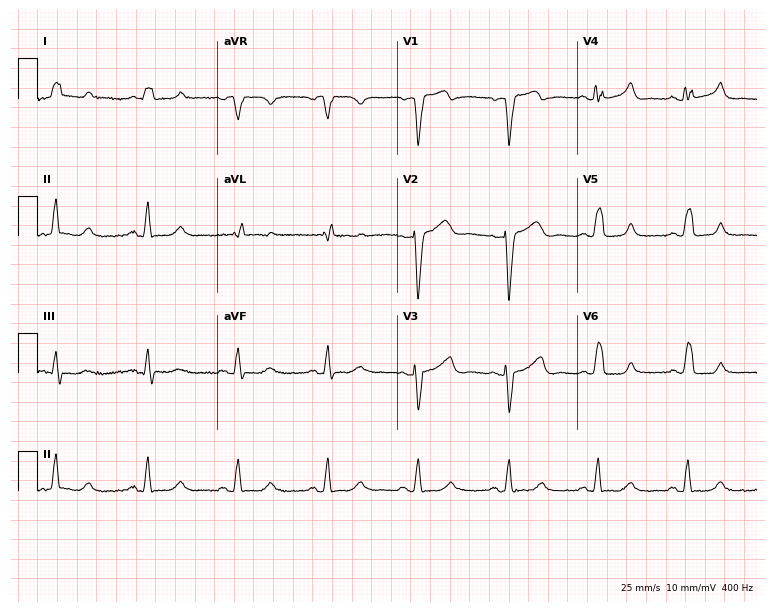
12-lead ECG from a female patient, 82 years old. Screened for six findings — first-degree AV block, right bundle branch block (RBBB), left bundle branch block (LBBB), sinus bradycardia, atrial fibrillation (AF), sinus tachycardia — none is recorded. Other findings, if any, are not listed.